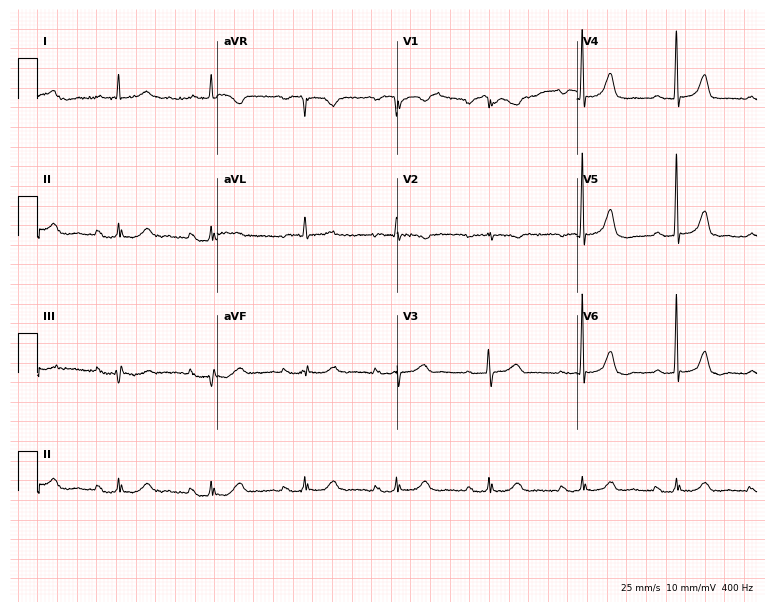
ECG — a female patient, 74 years old. Screened for six findings — first-degree AV block, right bundle branch block (RBBB), left bundle branch block (LBBB), sinus bradycardia, atrial fibrillation (AF), sinus tachycardia — none is recorded. Only these six findings were labelled.